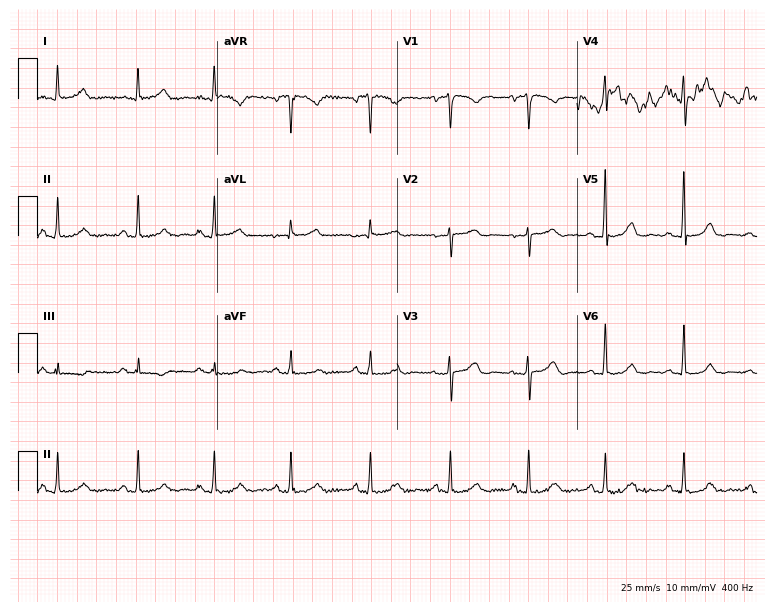
ECG — a woman, 66 years old. Screened for six findings — first-degree AV block, right bundle branch block (RBBB), left bundle branch block (LBBB), sinus bradycardia, atrial fibrillation (AF), sinus tachycardia — none is recorded. Only these six findings were labelled.